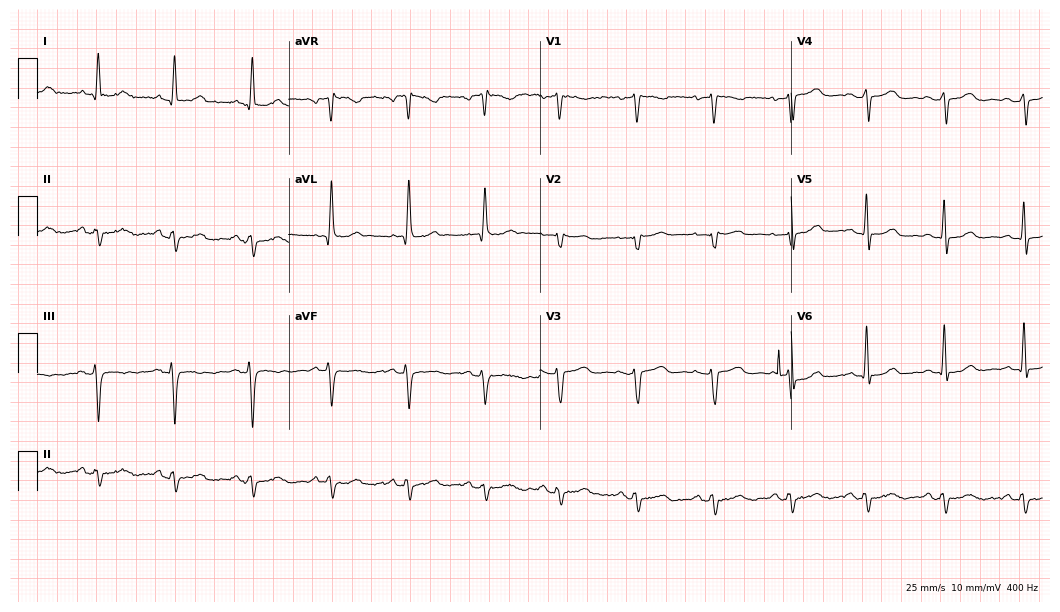
ECG (10.2-second recording at 400 Hz) — a male, 66 years old. Screened for six findings — first-degree AV block, right bundle branch block (RBBB), left bundle branch block (LBBB), sinus bradycardia, atrial fibrillation (AF), sinus tachycardia — none is recorded. Only these six findings were labelled.